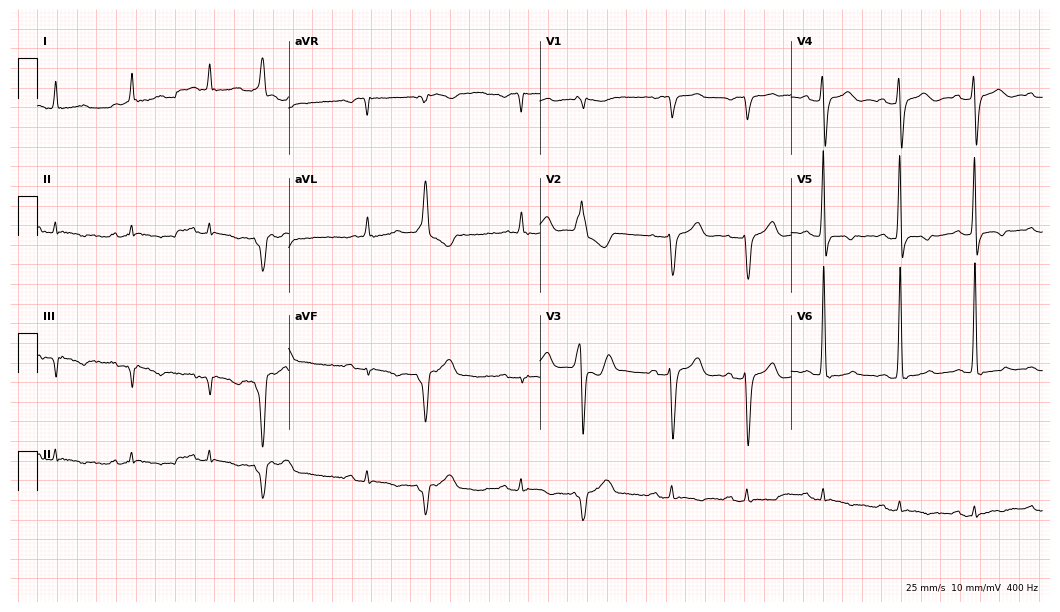
Standard 12-lead ECG recorded from a 79-year-old male (10.2-second recording at 400 Hz). None of these six findings is recorded: first-degree AV block, right bundle branch block (RBBB), left bundle branch block (LBBB), sinus bradycardia, atrial fibrillation (AF), sinus tachycardia.